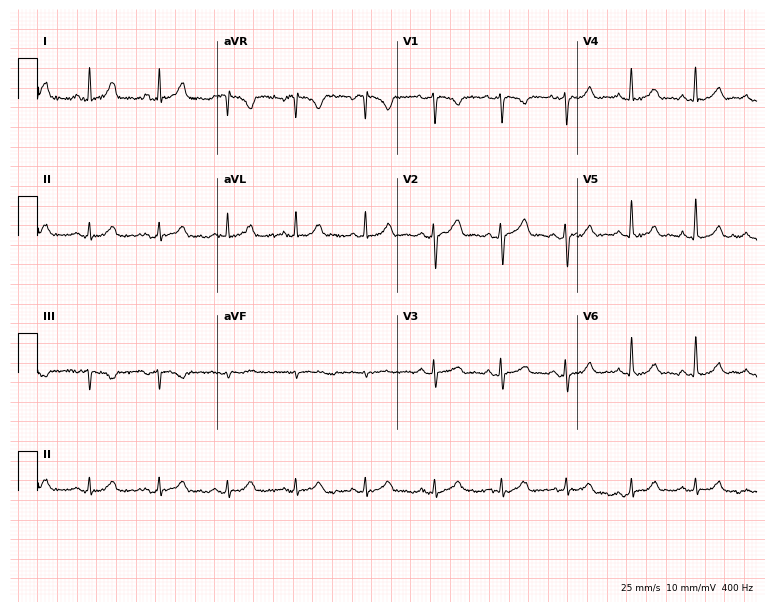
12-lead ECG from a woman, 23 years old. Recorded interpretation: within normal limits.